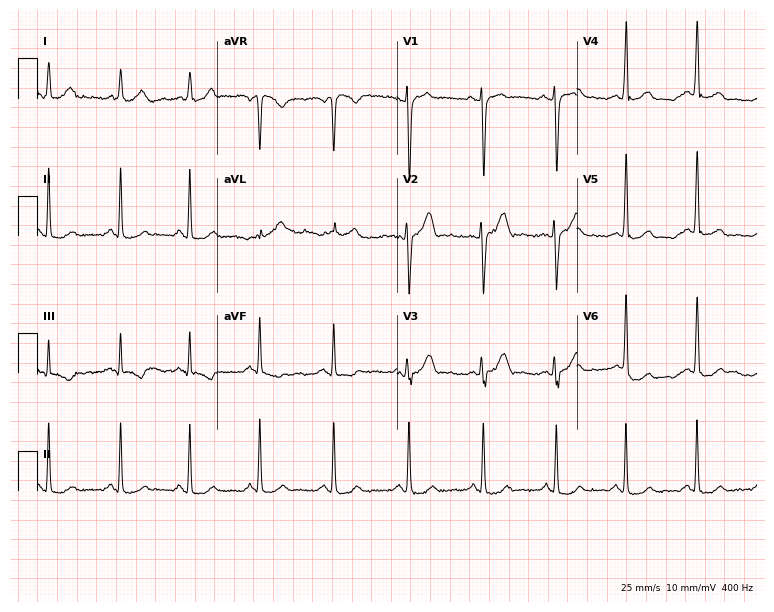
ECG — a 26-year-old male. Labelled as a normal ECG.